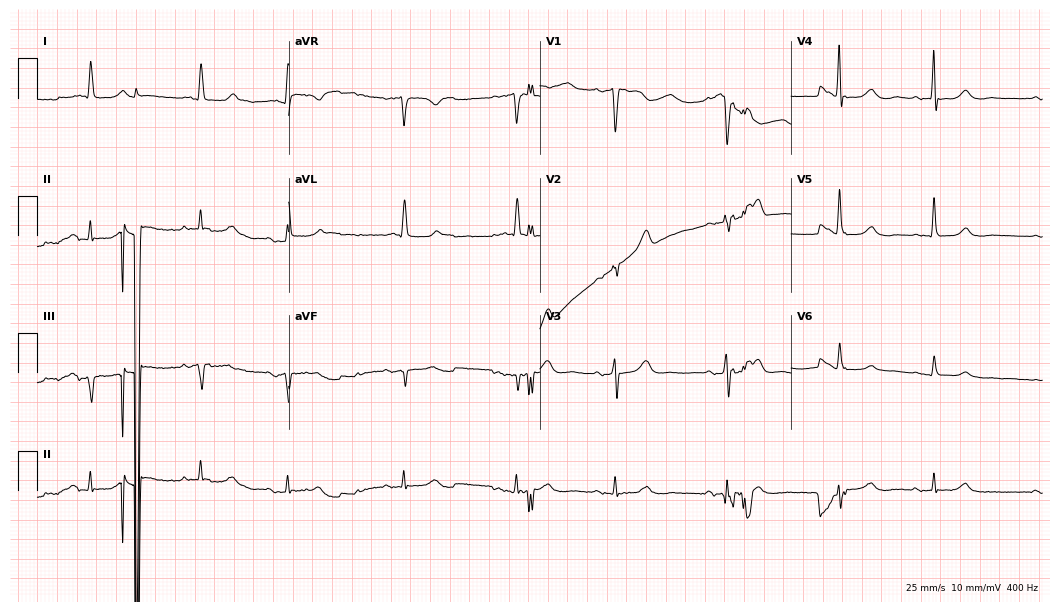
Resting 12-lead electrocardiogram (10.2-second recording at 400 Hz). Patient: an 86-year-old male. None of these six findings is recorded: first-degree AV block, right bundle branch block, left bundle branch block, sinus bradycardia, atrial fibrillation, sinus tachycardia.